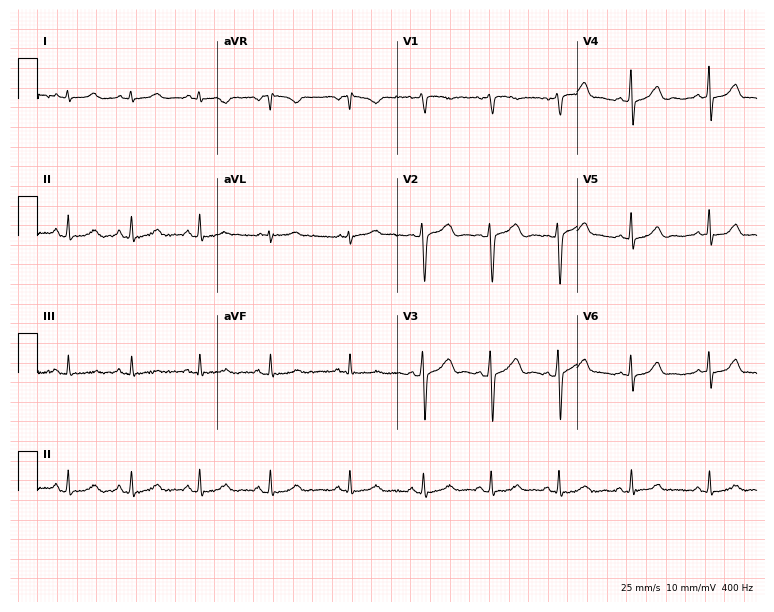
ECG (7.3-second recording at 400 Hz) — an 18-year-old female. Screened for six findings — first-degree AV block, right bundle branch block, left bundle branch block, sinus bradycardia, atrial fibrillation, sinus tachycardia — none is recorded.